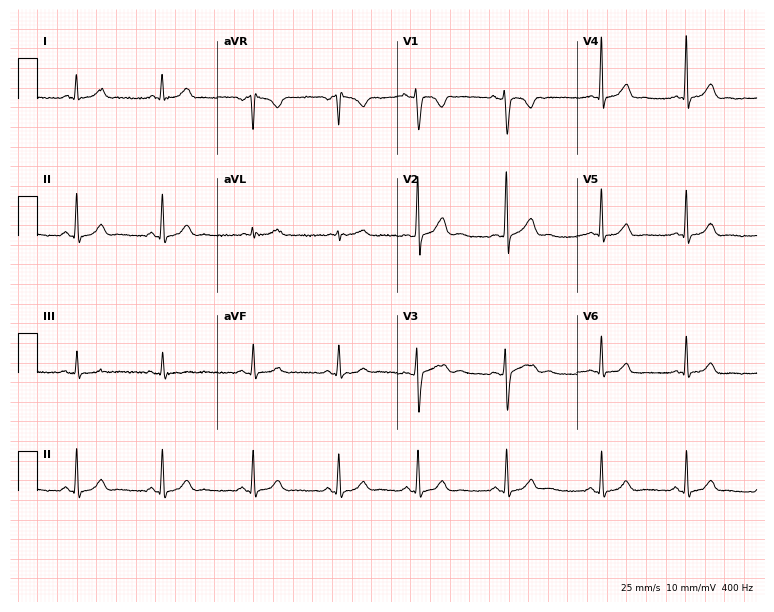
Standard 12-lead ECG recorded from a 26-year-old female patient (7.3-second recording at 400 Hz). Read as a normal ECG.